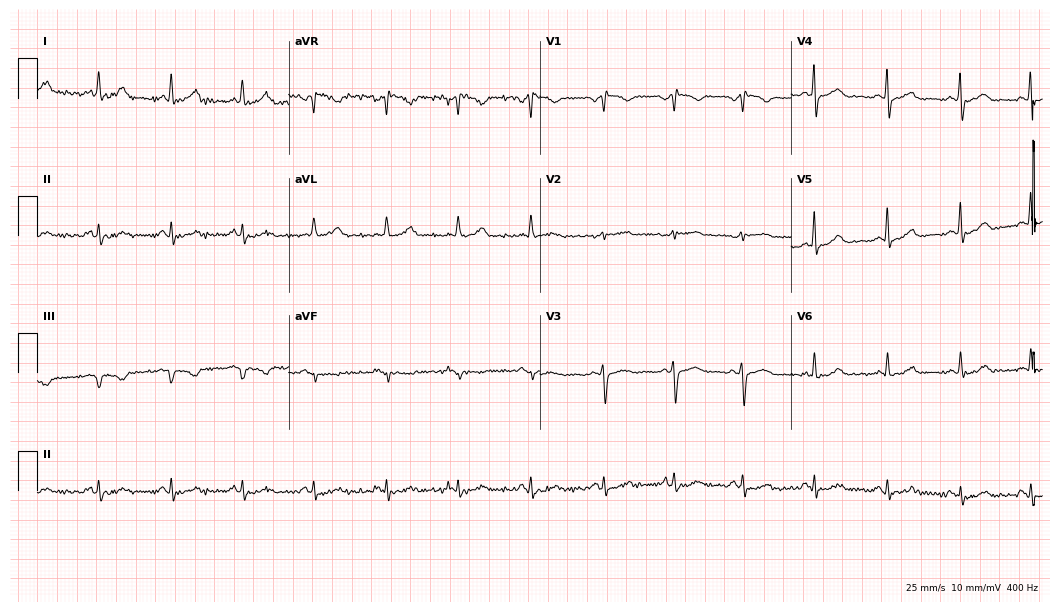
12-lead ECG (10.2-second recording at 400 Hz) from a 54-year-old woman. Screened for six findings — first-degree AV block, right bundle branch block, left bundle branch block, sinus bradycardia, atrial fibrillation, sinus tachycardia — none is recorded.